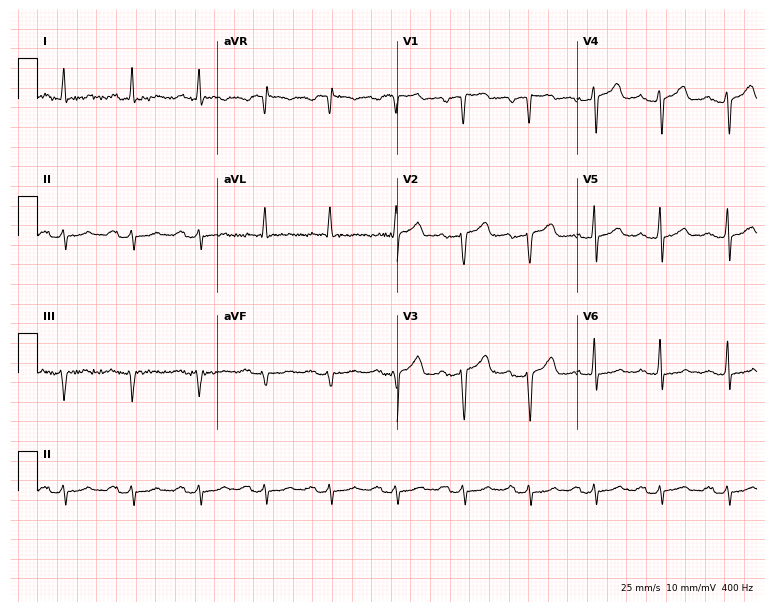
Electrocardiogram (7.3-second recording at 400 Hz), a 67-year-old man. Of the six screened findings (first-degree AV block, right bundle branch block (RBBB), left bundle branch block (LBBB), sinus bradycardia, atrial fibrillation (AF), sinus tachycardia), none is recorded.